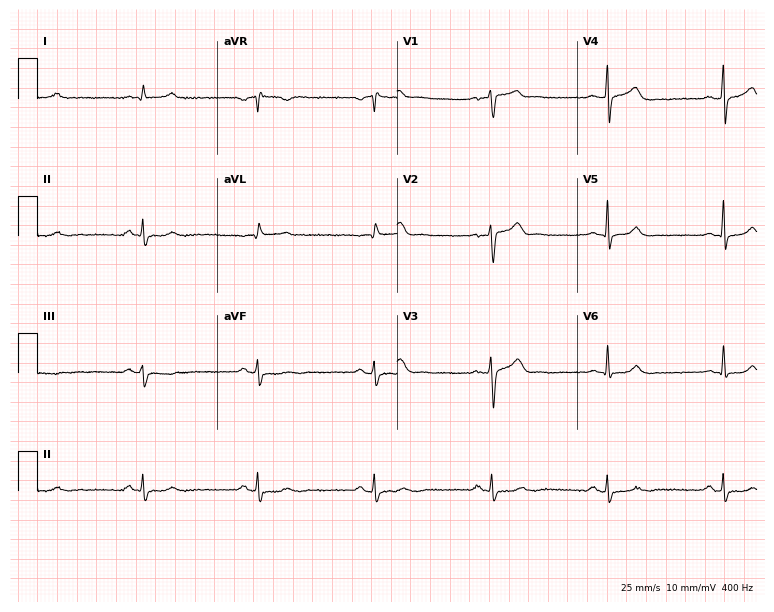
12-lead ECG from a male, 44 years old (7.3-second recording at 400 Hz). Recorded interpretation: within normal limits.